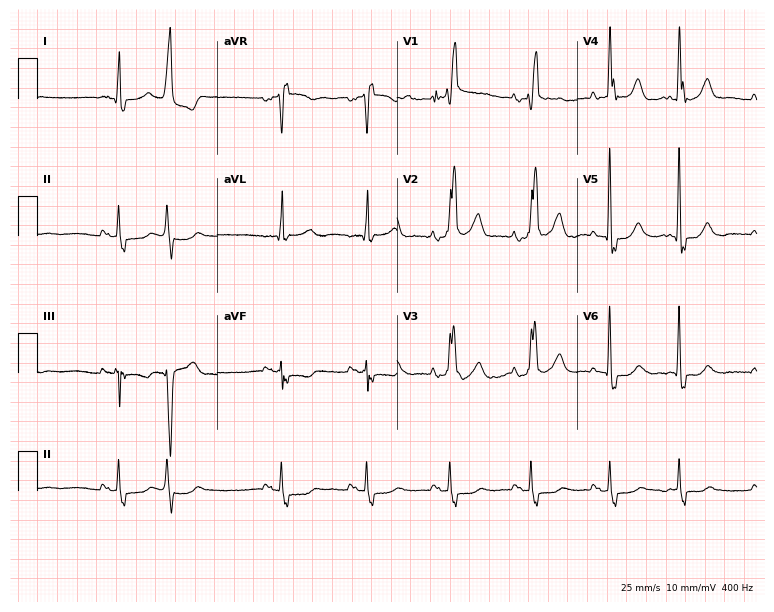
12-lead ECG (7.3-second recording at 400 Hz) from a 74-year-old male patient. Screened for six findings — first-degree AV block, right bundle branch block, left bundle branch block, sinus bradycardia, atrial fibrillation, sinus tachycardia — none is recorded. Other findings, if any, are not listed.